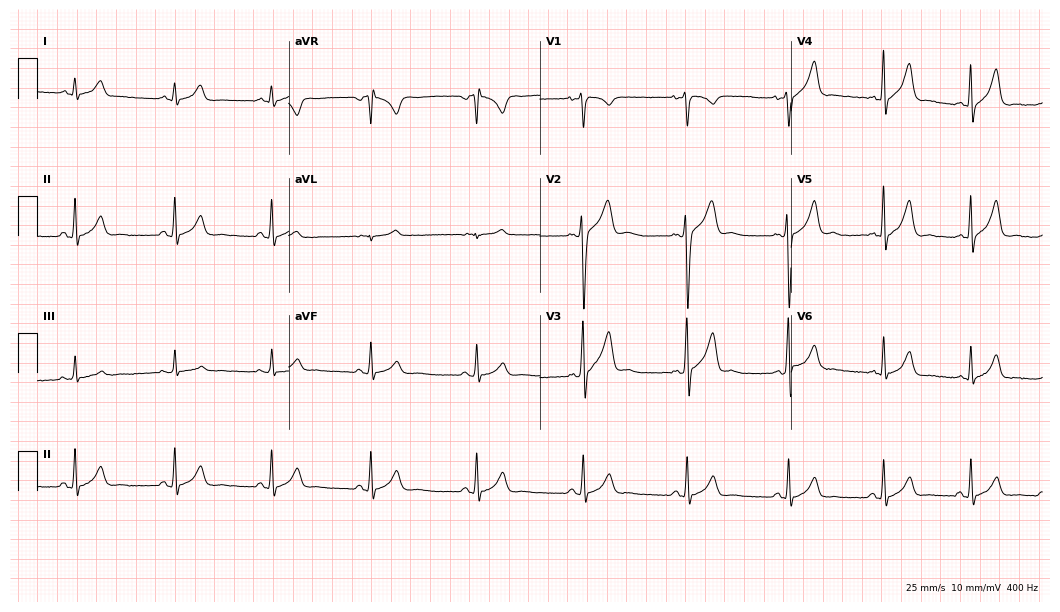
12-lead ECG from a man, 18 years old (10.2-second recording at 400 Hz). No first-degree AV block, right bundle branch block, left bundle branch block, sinus bradycardia, atrial fibrillation or sinus tachycardia recorded for this tracing.